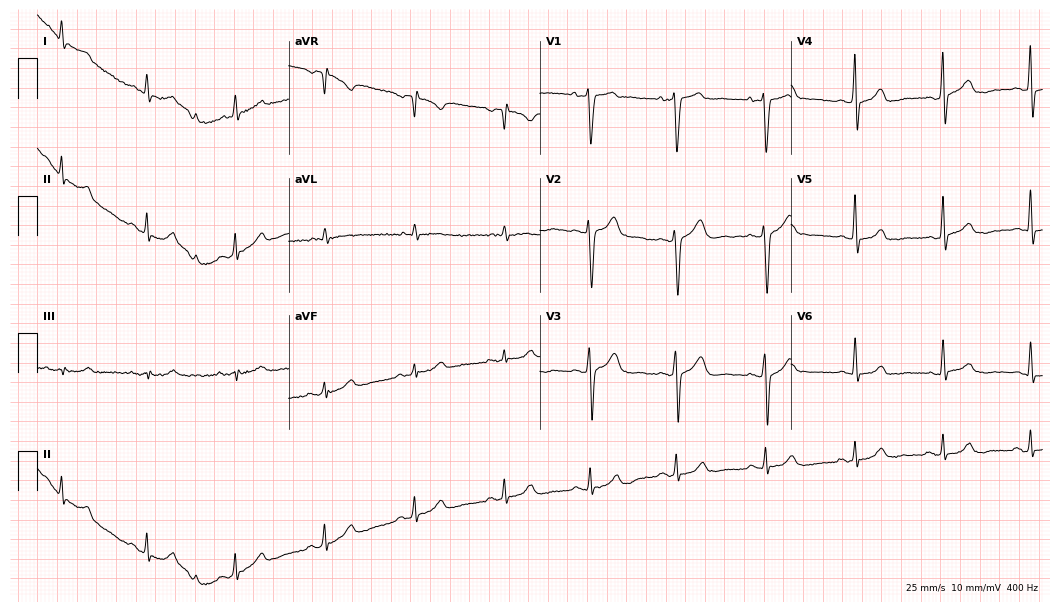
Electrocardiogram (10.2-second recording at 400 Hz), a 44-year-old man. Of the six screened findings (first-degree AV block, right bundle branch block (RBBB), left bundle branch block (LBBB), sinus bradycardia, atrial fibrillation (AF), sinus tachycardia), none is recorded. Only these six findings were labelled.